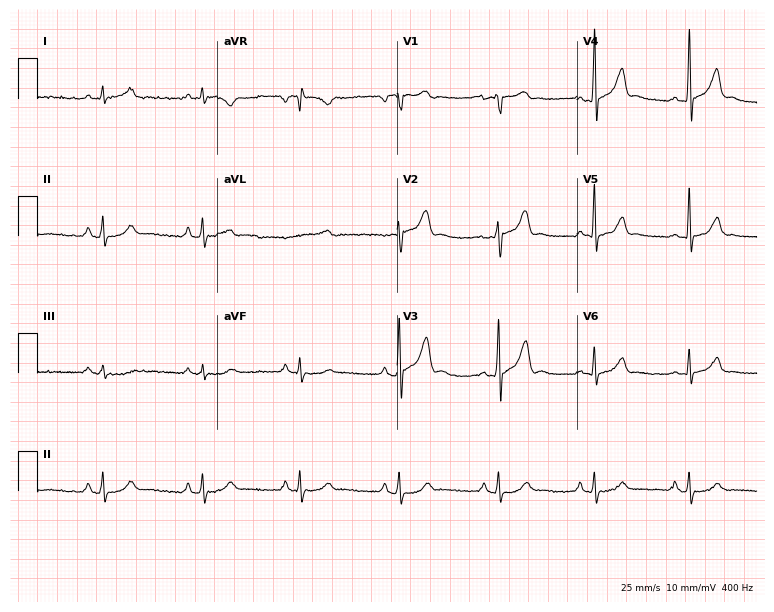
12-lead ECG from a male patient, 56 years old. Recorded interpretation: within normal limits.